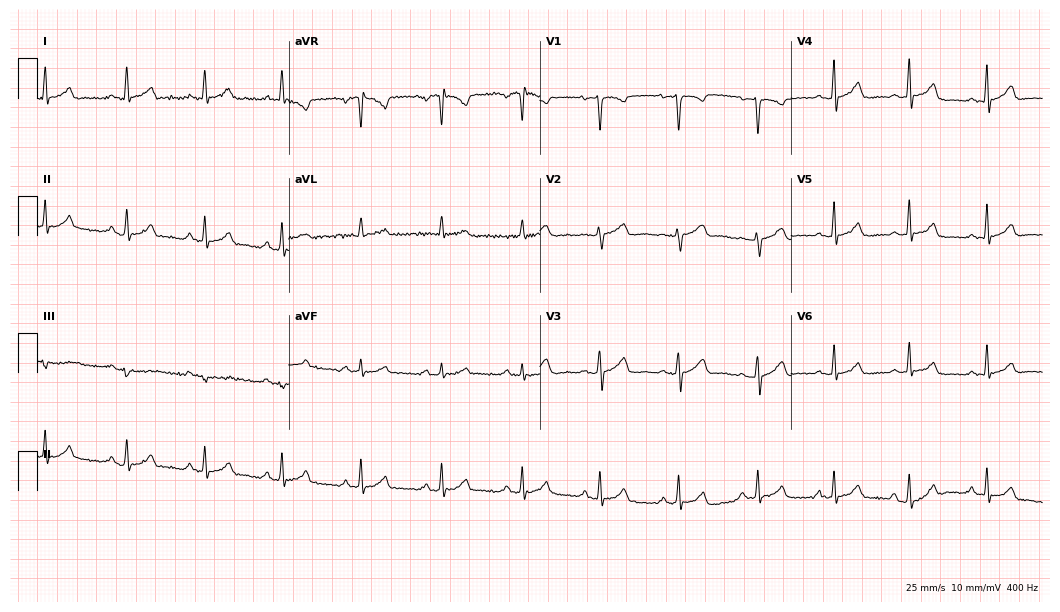
Electrocardiogram (10.2-second recording at 400 Hz), a female patient, 30 years old. Of the six screened findings (first-degree AV block, right bundle branch block, left bundle branch block, sinus bradycardia, atrial fibrillation, sinus tachycardia), none is recorded.